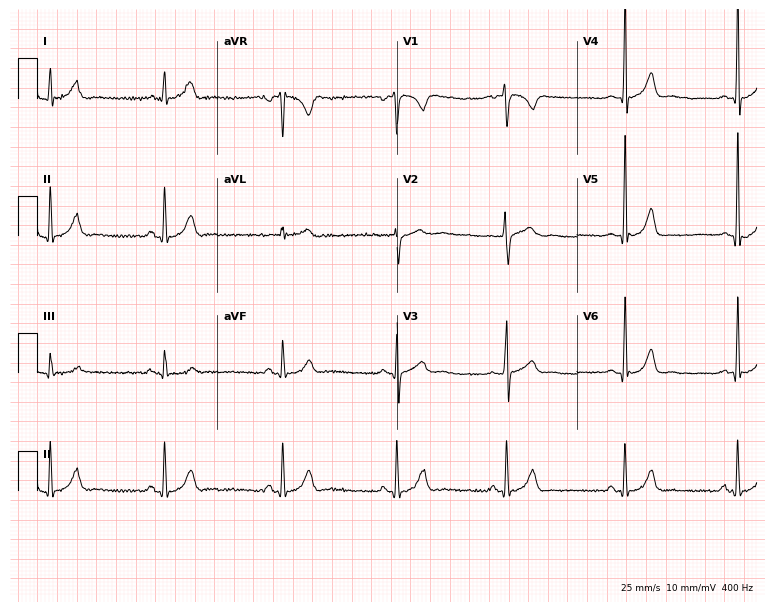
12-lead ECG from a 25-year-old man (7.3-second recording at 400 Hz). No first-degree AV block, right bundle branch block, left bundle branch block, sinus bradycardia, atrial fibrillation or sinus tachycardia recorded for this tracing.